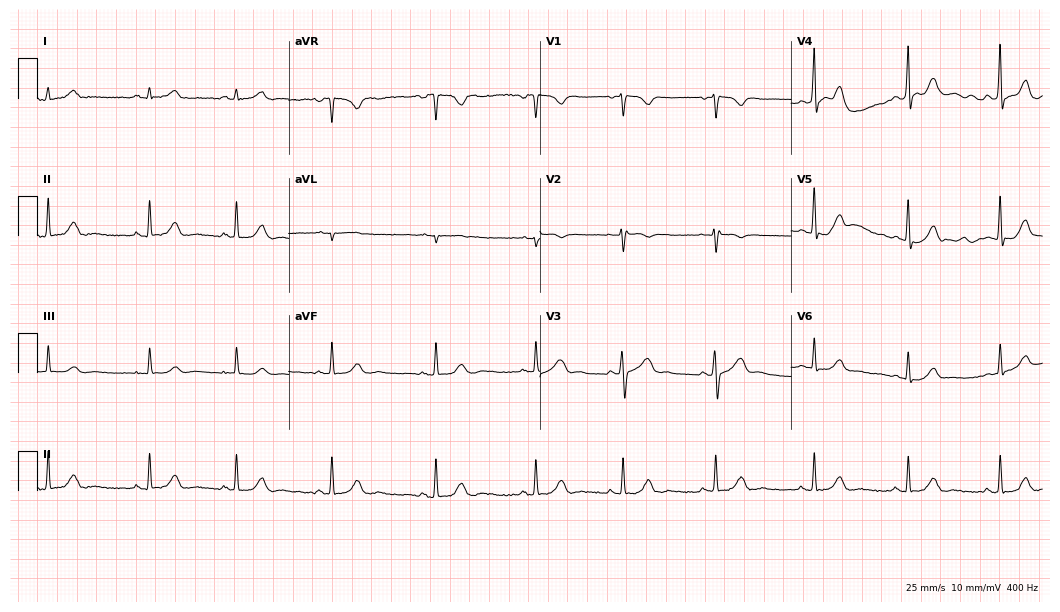
Electrocardiogram, a 32-year-old woman. Overall reading on record: normal ECG.